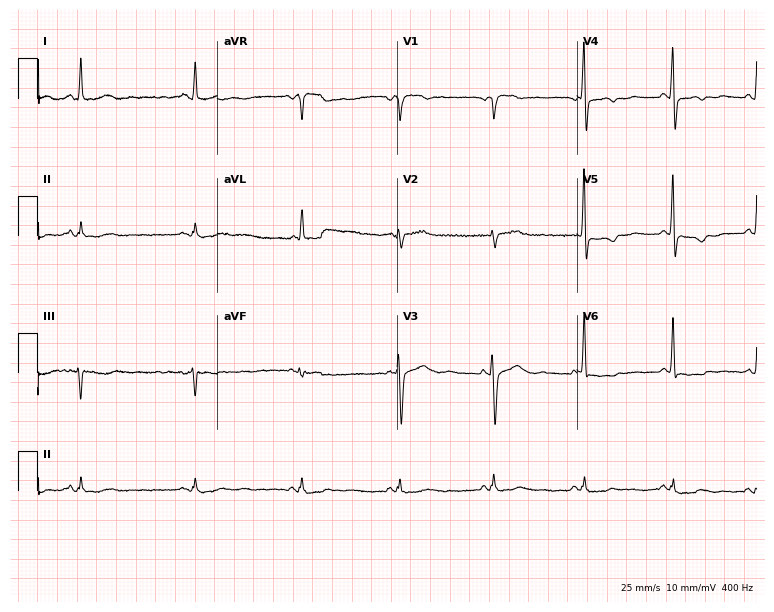
12-lead ECG from a woman, 66 years old. No first-degree AV block, right bundle branch block, left bundle branch block, sinus bradycardia, atrial fibrillation or sinus tachycardia recorded for this tracing. Findings outside these six are not listed.